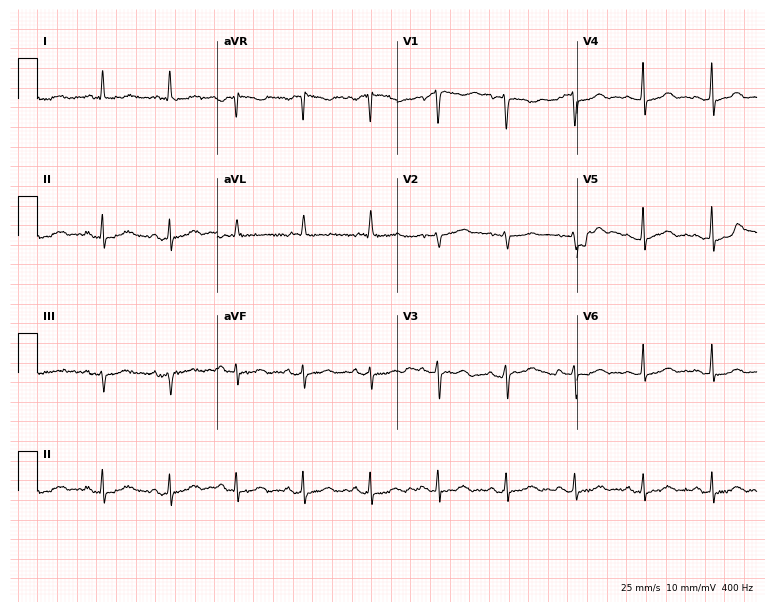
Electrocardiogram (7.3-second recording at 400 Hz), a female patient, 78 years old. Overall reading on record: normal ECG.